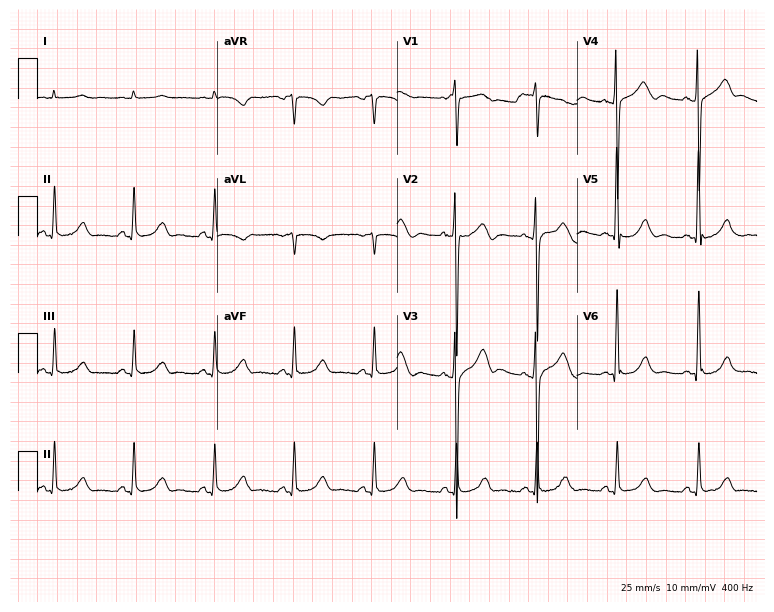
ECG — a male, 70 years old. Labelled as a normal ECG.